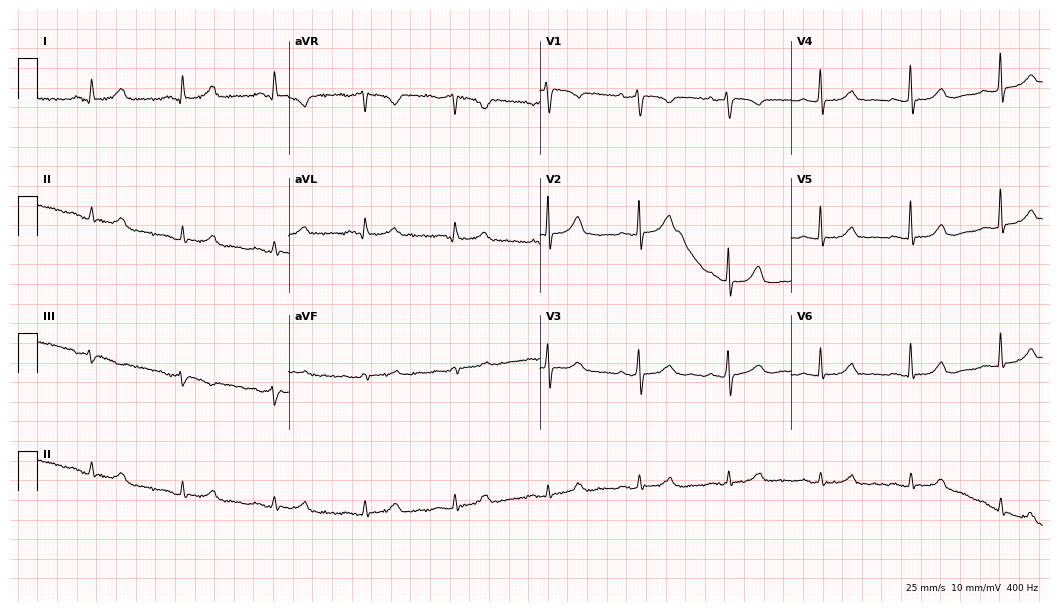
Resting 12-lead electrocardiogram. Patient: a 57-year-old female. Read as a normal ECG.